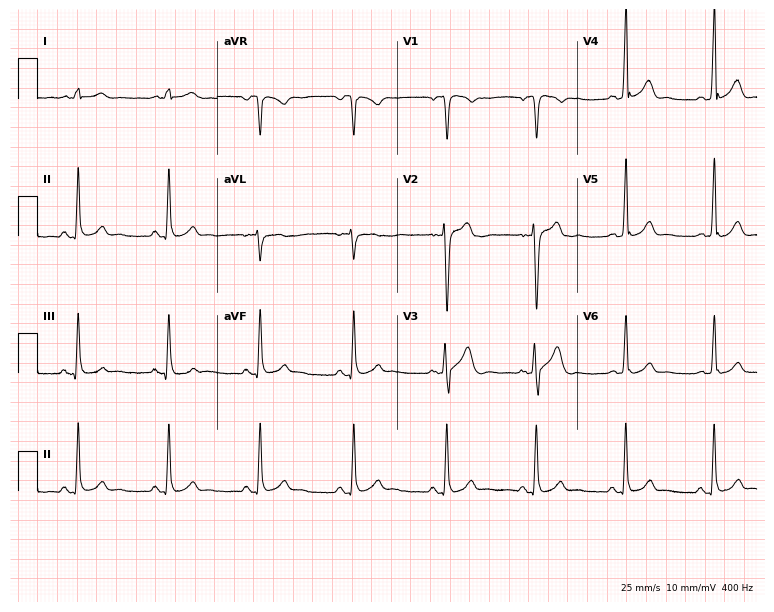
Resting 12-lead electrocardiogram. Patient: a male, 29 years old. Read as a normal ECG.